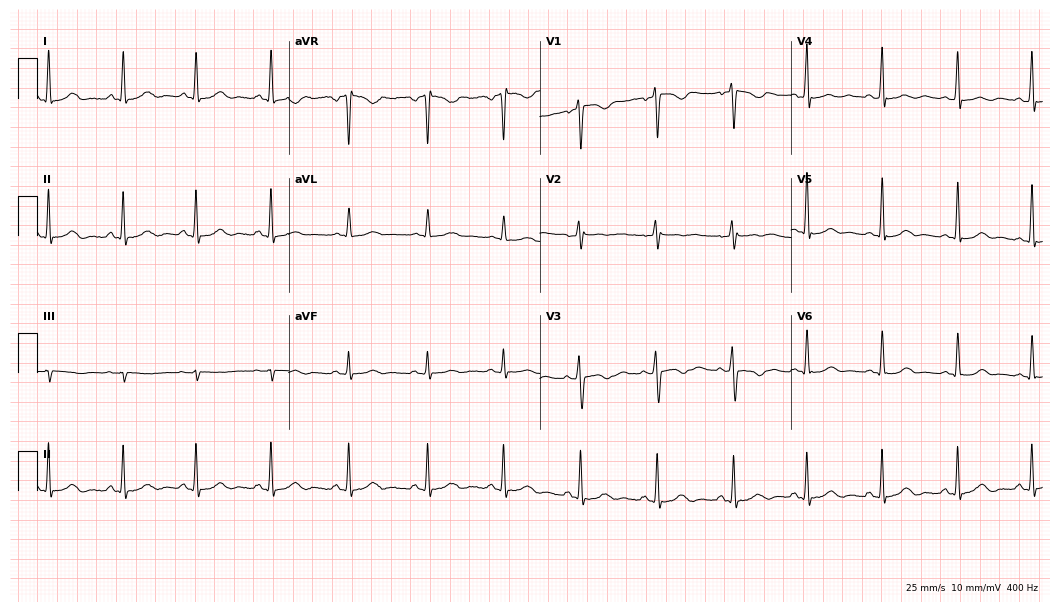
Standard 12-lead ECG recorded from a 37-year-old woman. None of these six findings is recorded: first-degree AV block, right bundle branch block, left bundle branch block, sinus bradycardia, atrial fibrillation, sinus tachycardia. Findings outside these six are not listed.